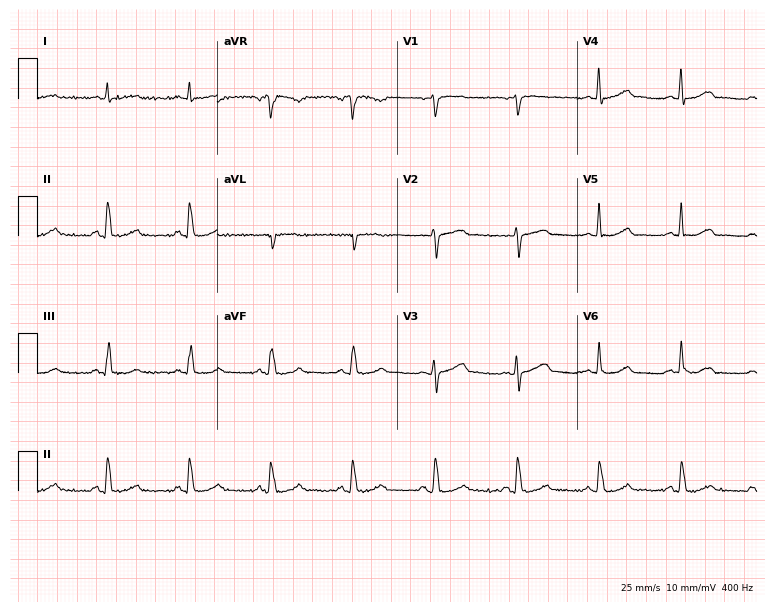
Resting 12-lead electrocardiogram (7.3-second recording at 400 Hz). Patient: a woman, 74 years old. Read as a normal ECG.